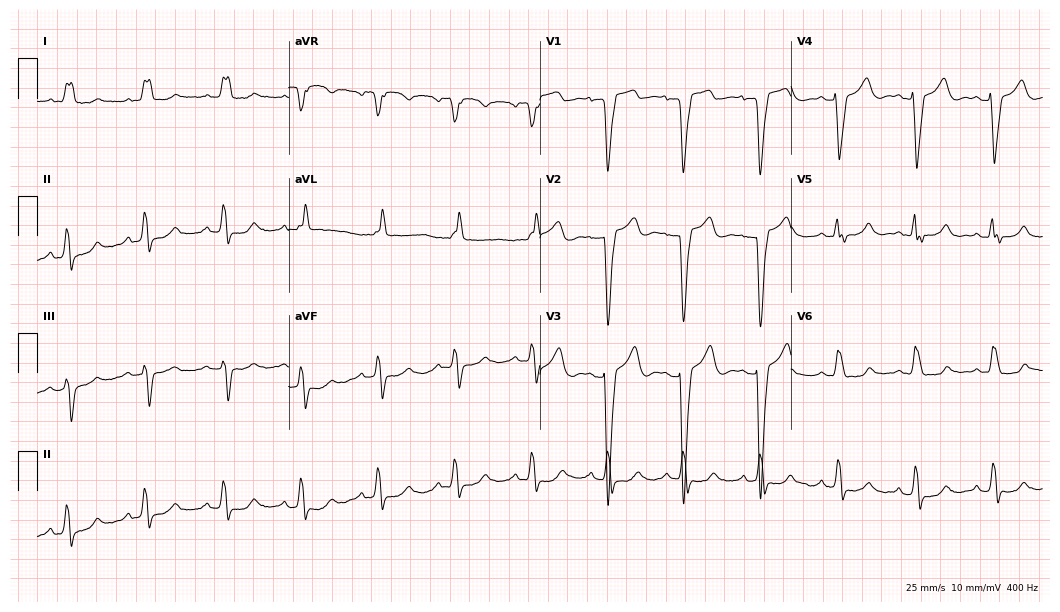
12-lead ECG from a 53-year-old female (10.2-second recording at 400 Hz). Shows left bundle branch block.